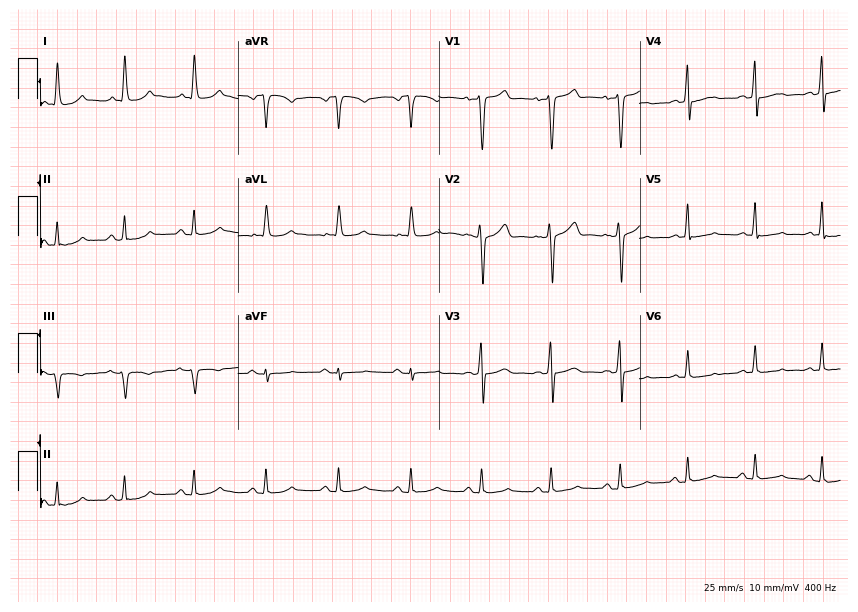
Resting 12-lead electrocardiogram (8.2-second recording at 400 Hz). Patient: a 42-year-old man. None of these six findings is recorded: first-degree AV block, right bundle branch block (RBBB), left bundle branch block (LBBB), sinus bradycardia, atrial fibrillation (AF), sinus tachycardia.